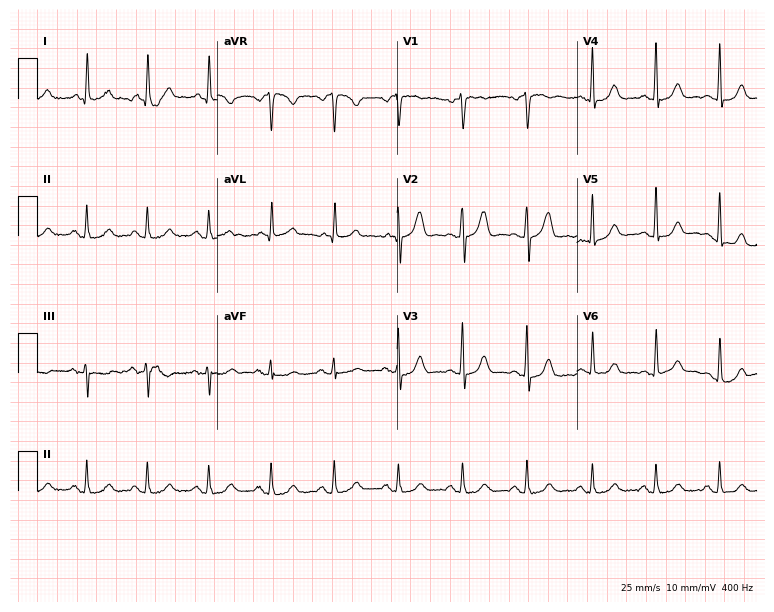
Electrocardiogram (7.3-second recording at 400 Hz), a female patient, 63 years old. Of the six screened findings (first-degree AV block, right bundle branch block (RBBB), left bundle branch block (LBBB), sinus bradycardia, atrial fibrillation (AF), sinus tachycardia), none is recorded.